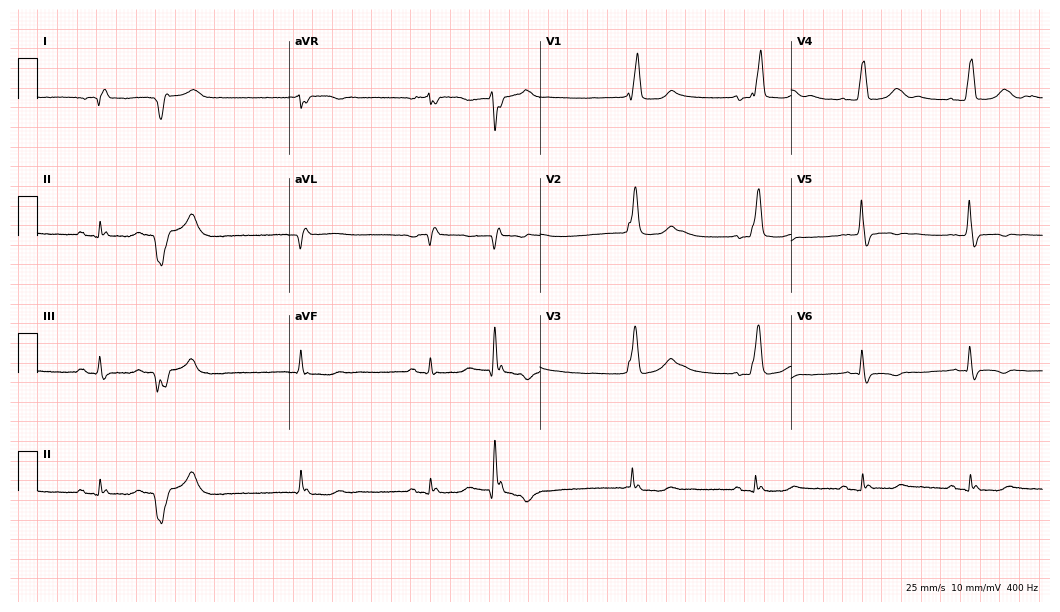
Resting 12-lead electrocardiogram. Patient: a male, 57 years old. The tracing shows right bundle branch block (RBBB), sinus bradycardia (a sinus rate of 50 beats per minute or less).